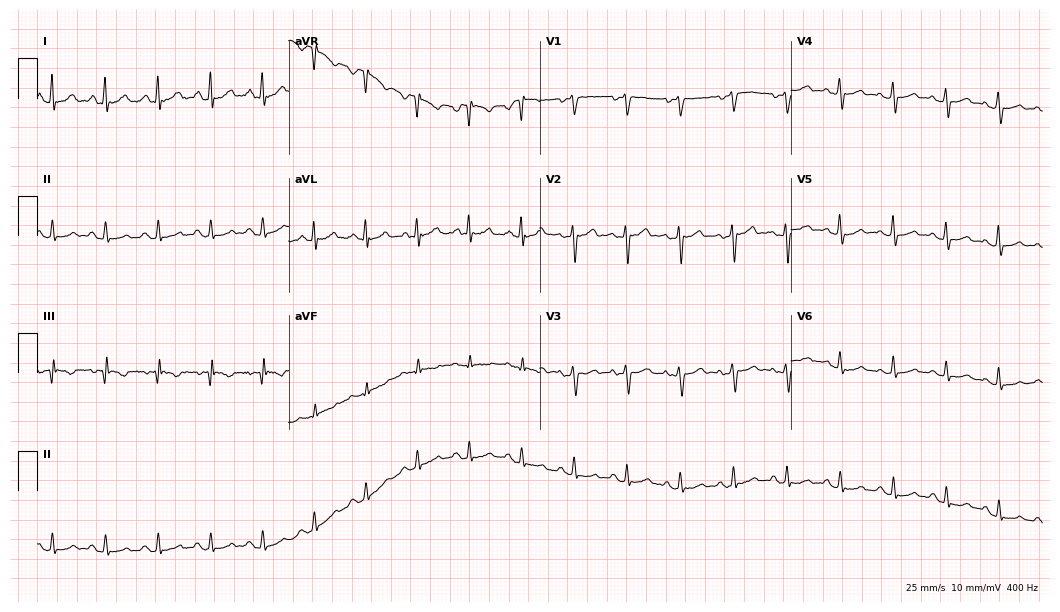
Standard 12-lead ECG recorded from a female, 43 years old (10.2-second recording at 400 Hz). The tracing shows sinus tachycardia (a sinus rate of 100 beats per minute or more).